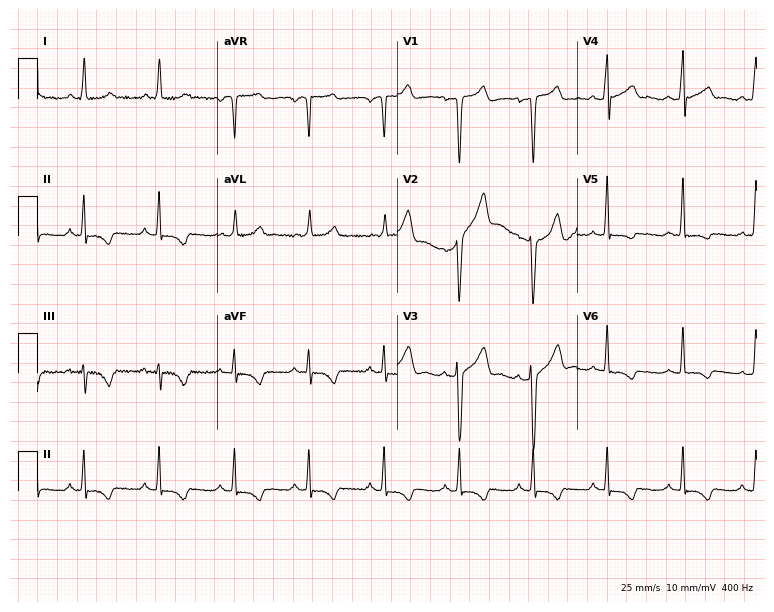
Resting 12-lead electrocardiogram. Patient: a male, 43 years old. None of these six findings is recorded: first-degree AV block, right bundle branch block, left bundle branch block, sinus bradycardia, atrial fibrillation, sinus tachycardia.